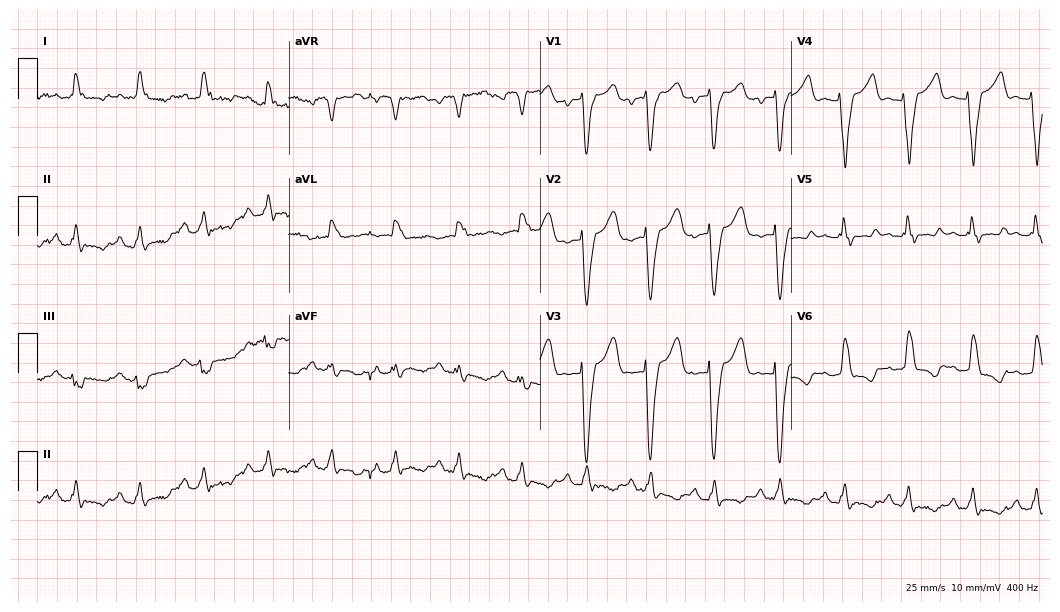
12-lead ECG from a 60-year-old woman (10.2-second recording at 400 Hz). Shows left bundle branch block.